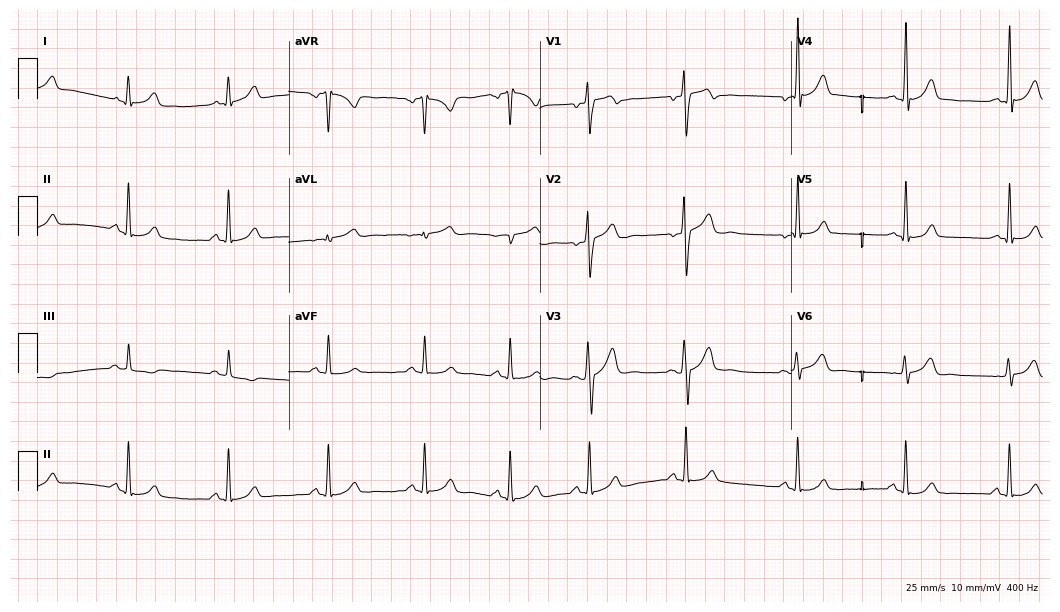
ECG (10.2-second recording at 400 Hz) — a male patient, 22 years old. Labelled as a normal ECG.